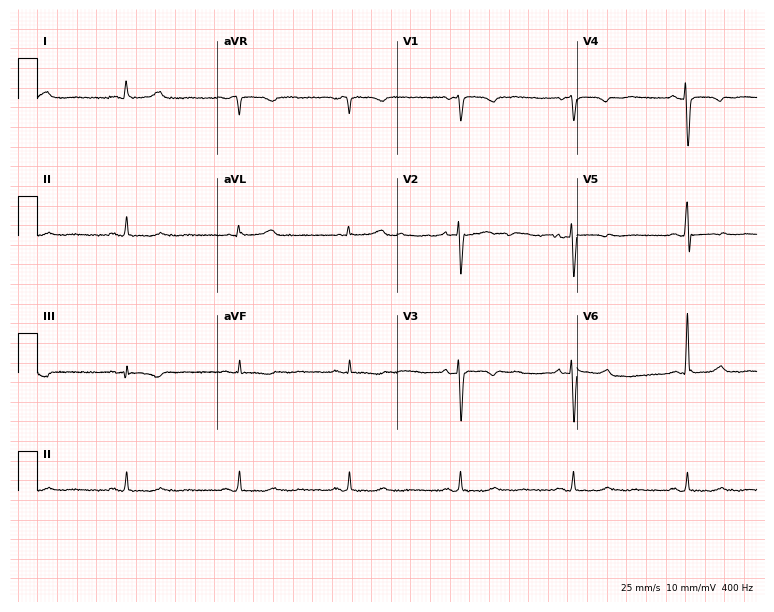
Standard 12-lead ECG recorded from a female patient, 58 years old (7.3-second recording at 400 Hz). None of these six findings is recorded: first-degree AV block, right bundle branch block, left bundle branch block, sinus bradycardia, atrial fibrillation, sinus tachycardia. Other findings, if any, are not listed.